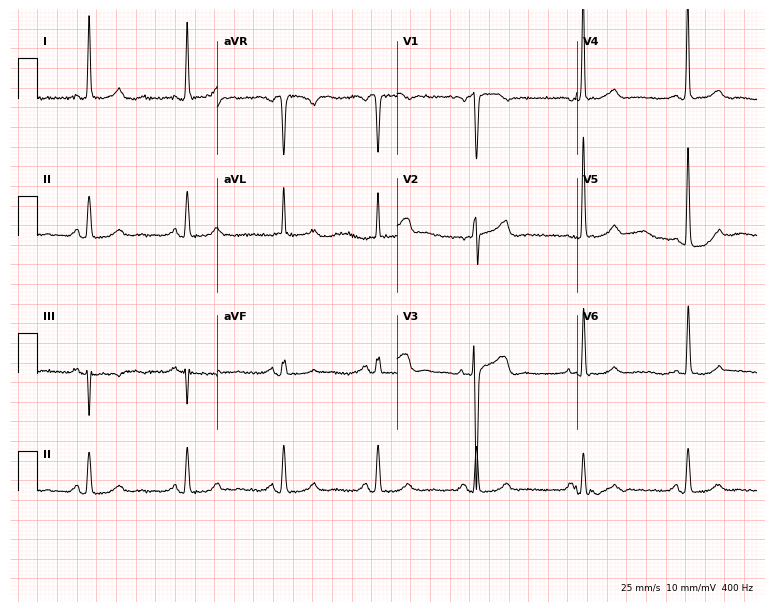
ECG (7.3-second recording at 400 Hz) — a female patient, 76 years old. Screened for six findings — first-degree AV block, right bundle branch block, left bundle branch block, sinus bradycardia, atrial fibrillation, sinus tachycardia — none is recorded. Other findings, if any, are not listed.